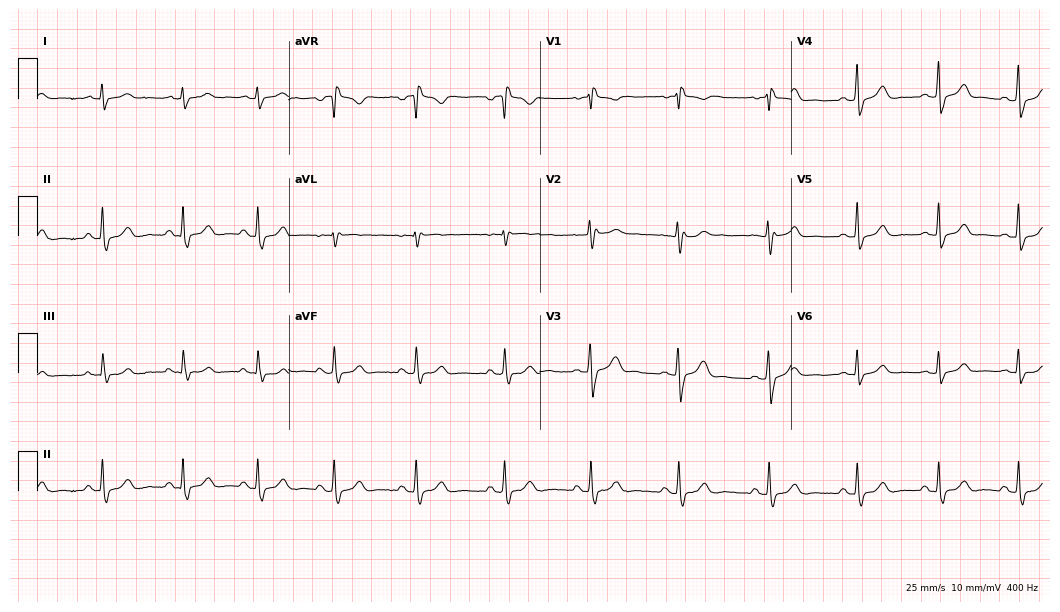
Resting 12-lead electrocardiogram (10.2-second recording at 400 Hz). Patient: a female, 30 years old. None of these six findings is recorded: first-degree AV block, right bundle branch block (RBBB), left bundle branch block (LBBB), sinus bradycardia, atrial fibrillation (AF), sinus tachycardia.